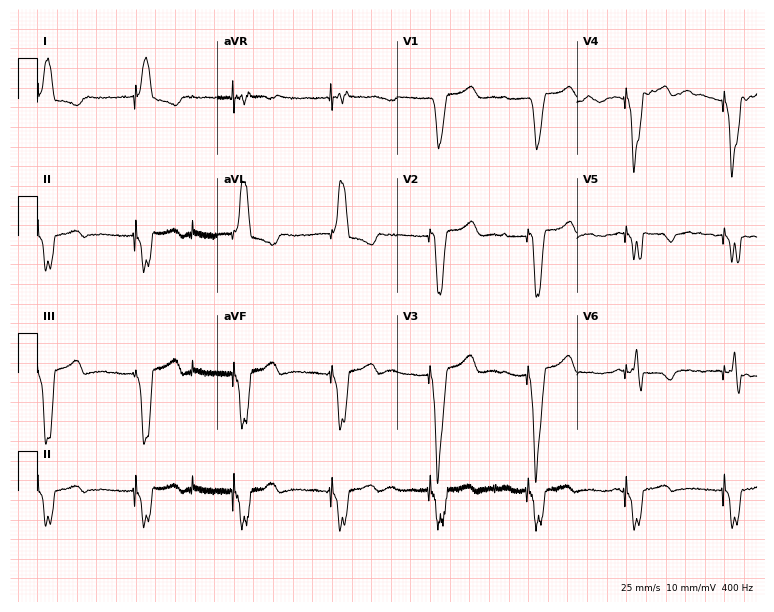
Standard 12-lead ECG recorded from a 57-year-old female patient (7.3-second recording at 400 Hz). None of these six findings is recorded: first-degree AV block, right bundle branch block, left bundle branch block, sinus bradycardia, atrial fibrillation, sinus tachycardia. Findings outside these six are not listed.